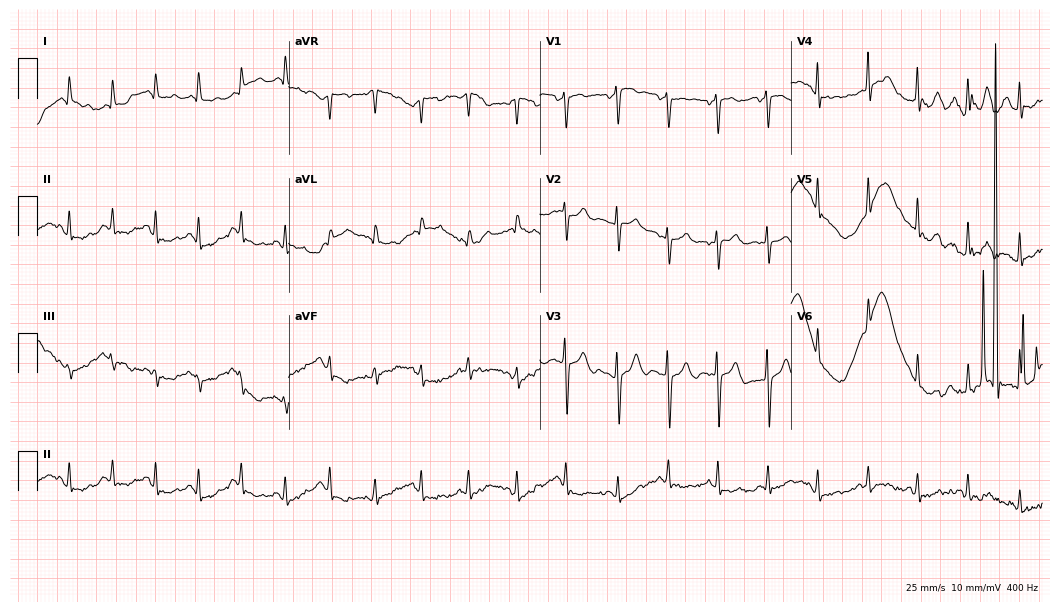
Standard 12-lead ECG recorded from a female patient, 22 years old. The tracing shows sinus tachycardia (a sinus rate of 100 beats per minute or more).